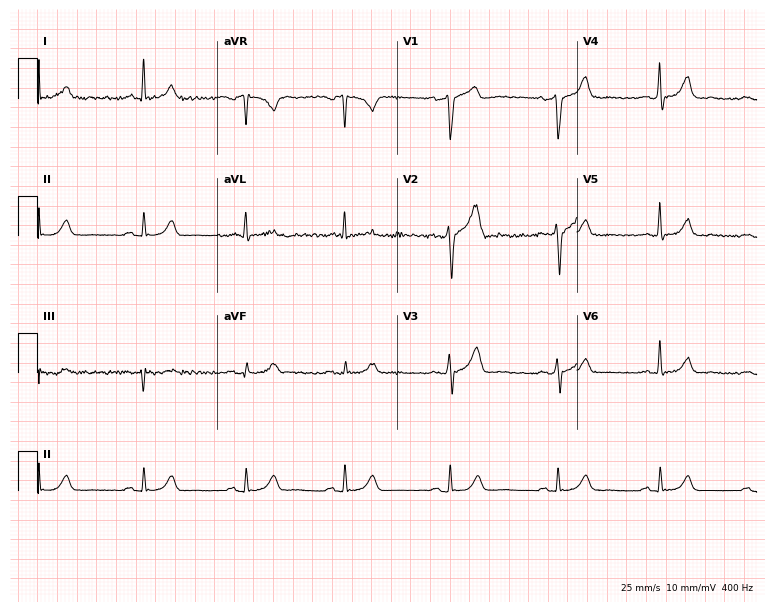
12-lead ECG from a man, 53 years old. Recorded interpretation: within normal limits.